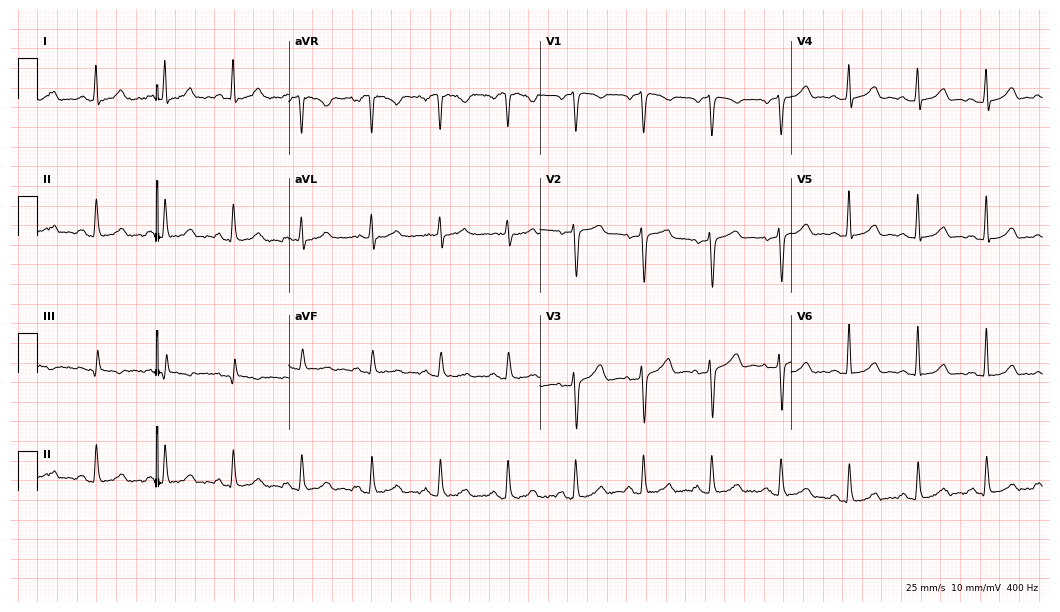
Electrocardiogram, a female patient, 52 years old. Overall reading on record: normal ECG.